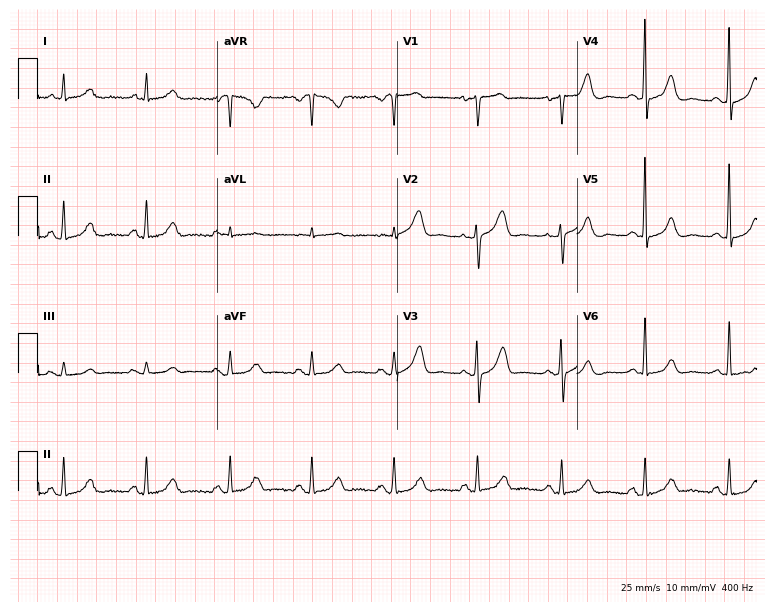
ECG — a female, 60 years old. Labelled as a normal ECG.